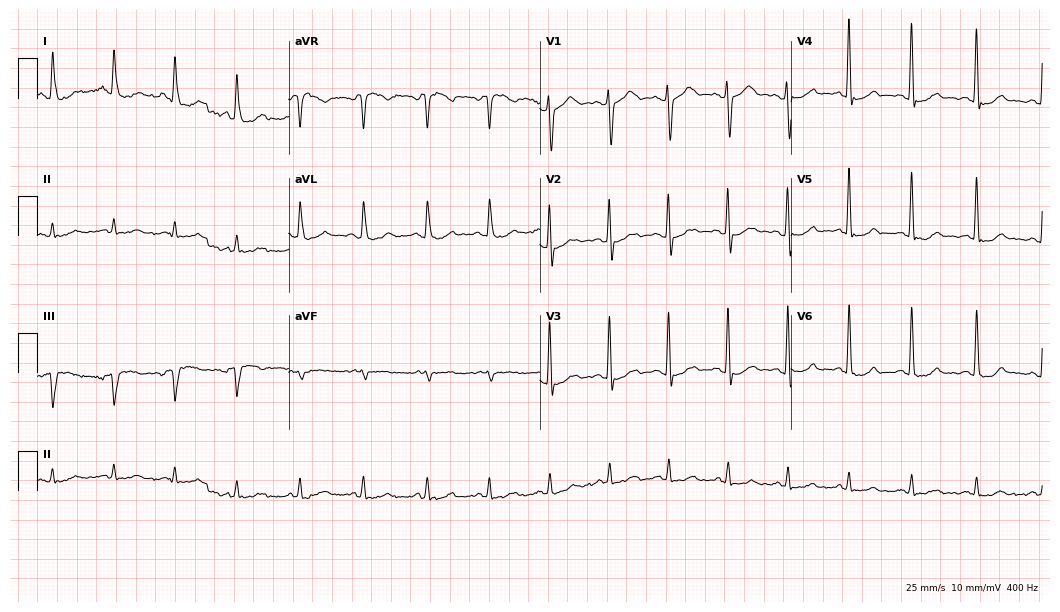
Standard 12-lead ECG recorded from a man, 51 years old. Read as a normal ECG.